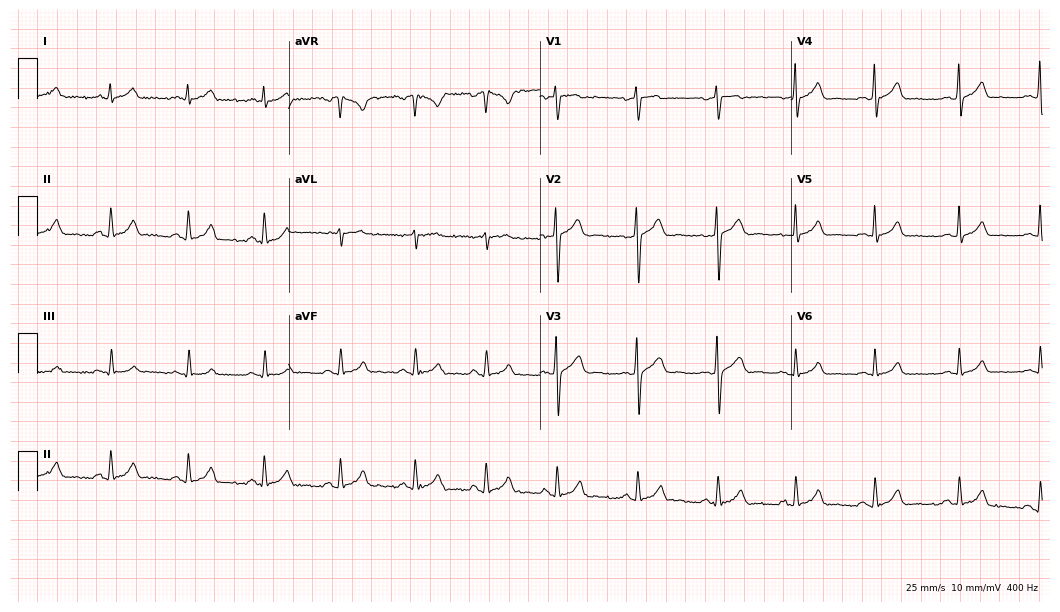
Resting 12-lead electrocardiogram. Patient: a 21-year-old man. Read as a normal ECG.